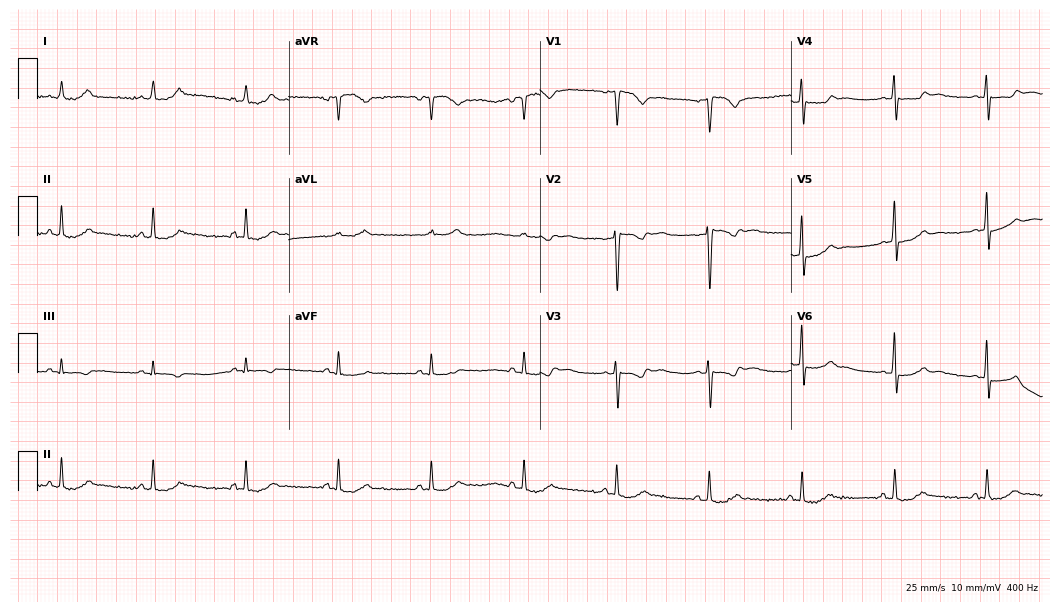
Electrocardiogram, a 77-year-old female patient. Of the six screened findings (first-degree AV block, right bundle branch block, left bundle branch block, sinus bradycardia, atrial fibrillation, sinus tachycardia), none is recorded.